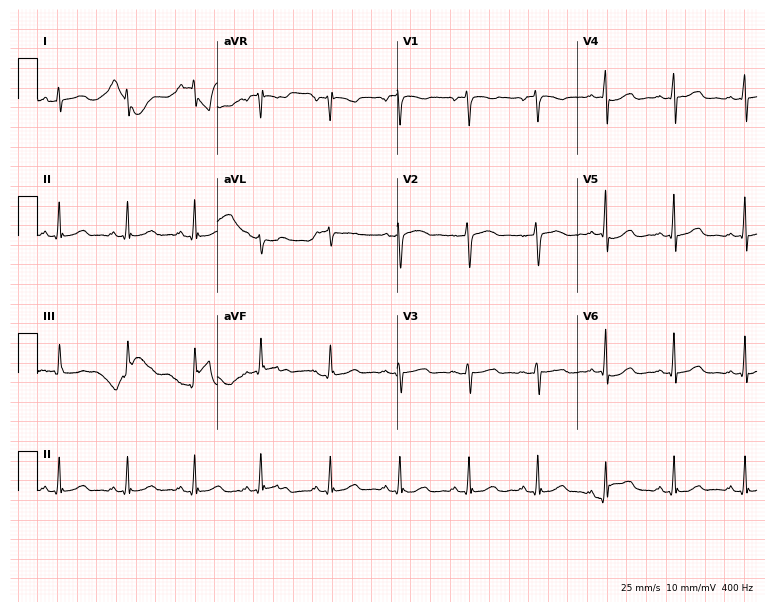
Resting 12-lead electrocardiogram (7.3-second recording at 400 Hz). Patient: a 56-year-old female. Read as a normal ECG.